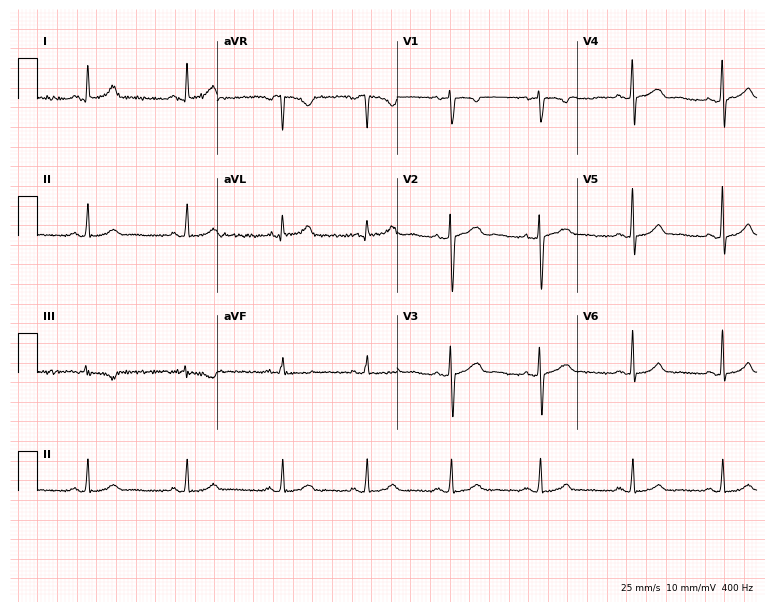
Standard 12-lead ECG recorded from a woman, 31 years old (7.3-second recording at 400 Hz). Read as a normal ECG.